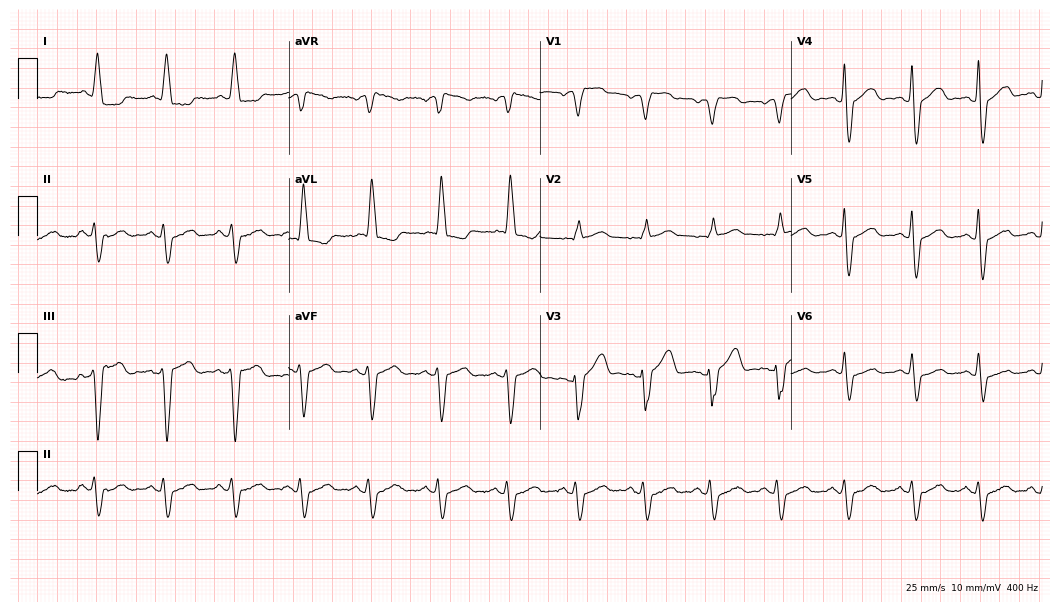
12-lead ECG from an 83-year-old female. Shows left bundle branch block (LBBB).